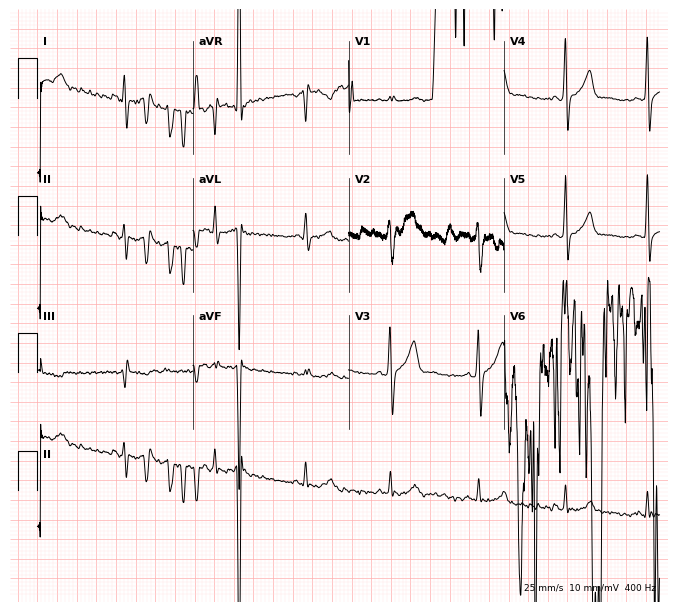
12-lead ECG from a 34-year-old male patient (6.3-second recording at 400 Hz). No first-degree AV block, right bundle branch block, left bundle branch block, sinus bradycardia, atrial fibrillation or sinus tachycardia recorded for this tracing. Other findings, if any, are not listed.